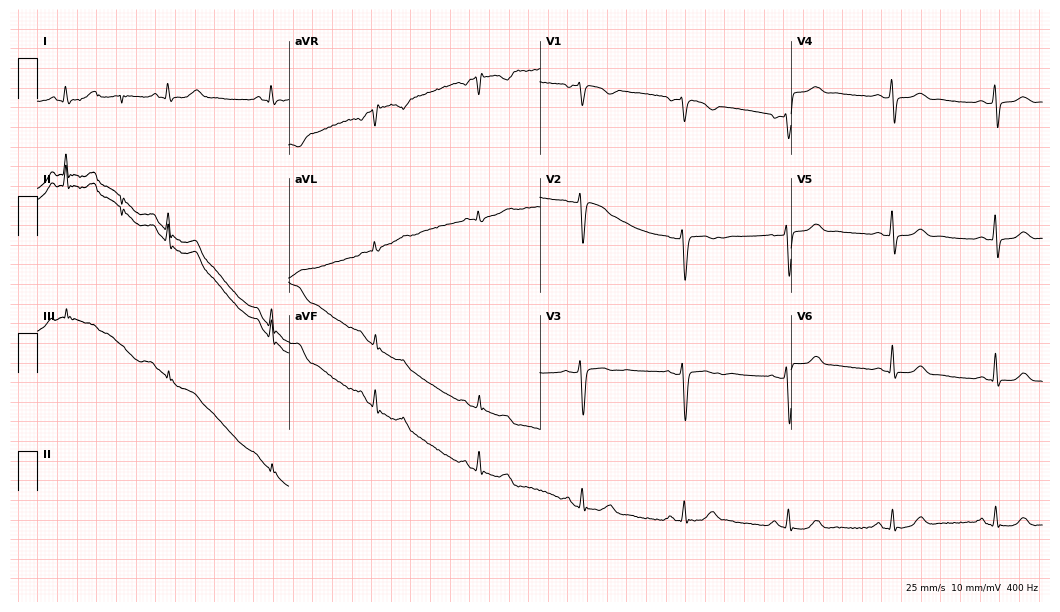
Standard 12-lead ECG recorded from a female, 45 years old (10.2-second recording at 400 Hz). Read as a normal ECG.